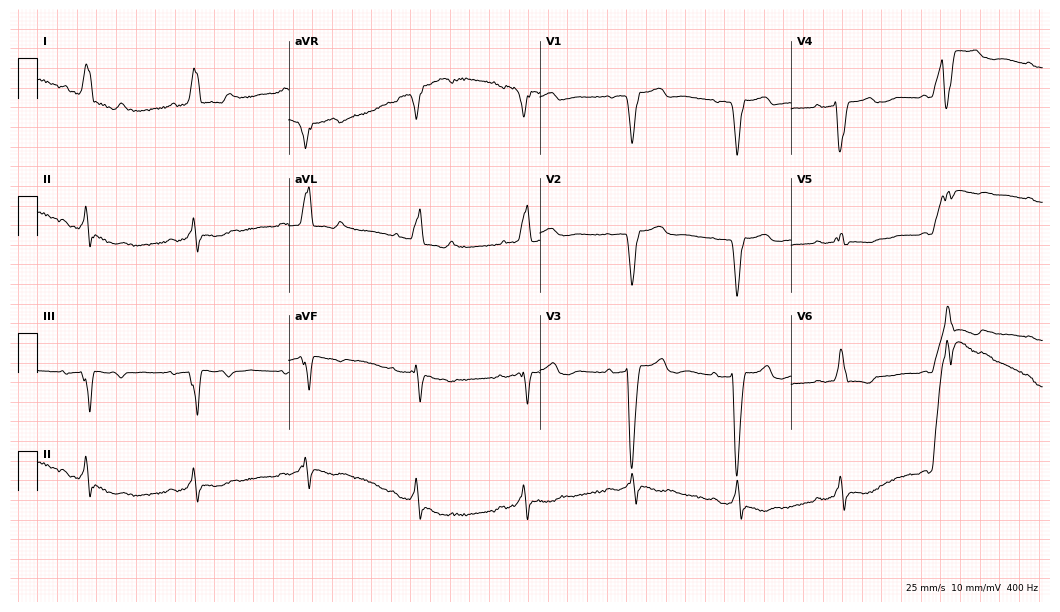
12-lead ECG from a 70-year-old woman (10.2-second recording at 400 Hz). Shows left bundle branch block (LBBB).